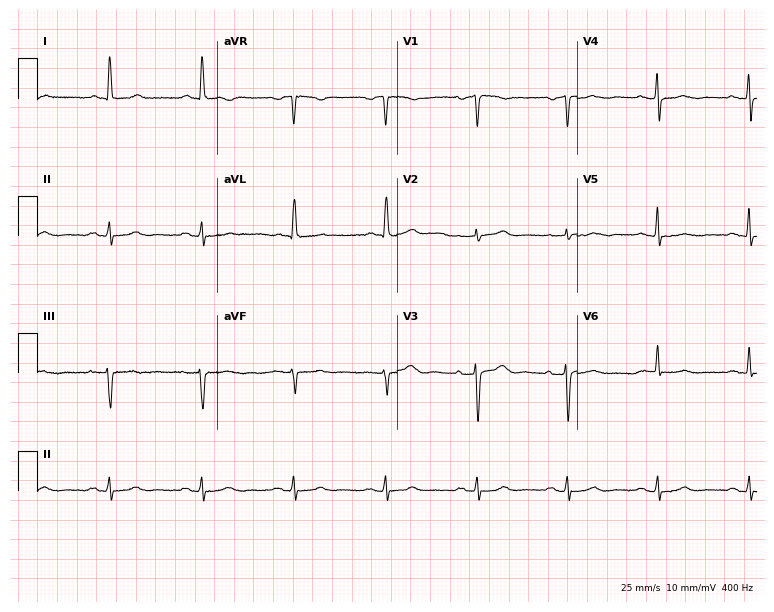
Resting 12-lead electrocardiogram (7.3-second recording at 400 Hz). Patient: a 76-year-old woman. Read as a normal ECG.